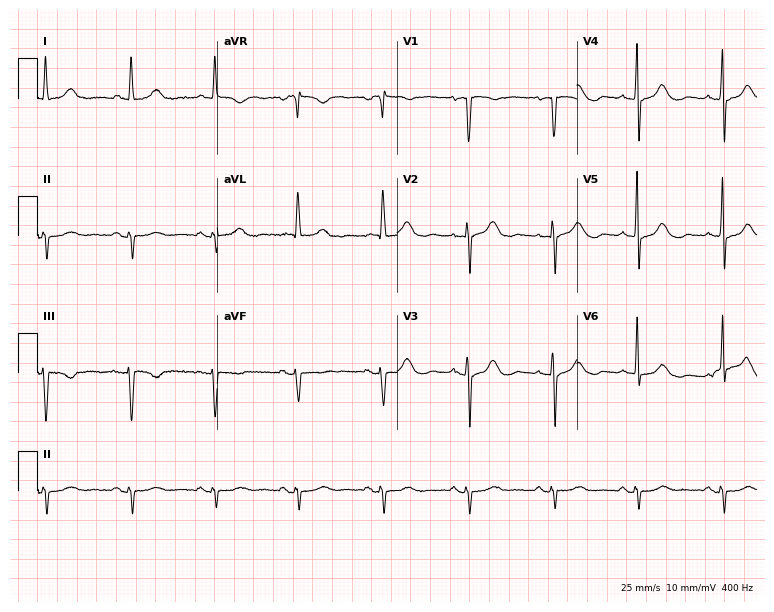
12-lead ECG from a woman, 74 years old. No first-degree AV block, right bundle branch block, left bundle branch block, sinus bradycardia, atrial fibrillation or sinus tachycardia recorded for this tracing. Only these six findings were labelled.